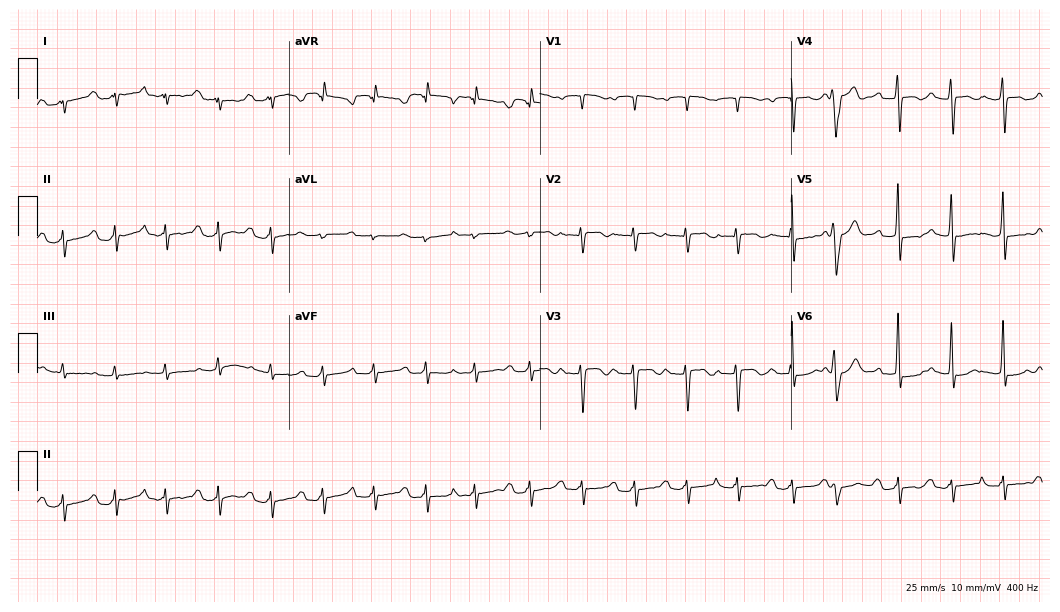
12-lead ECG from a male, 78 years old (10.2-second recording at 400 Hz). Shows first-degree AV block.